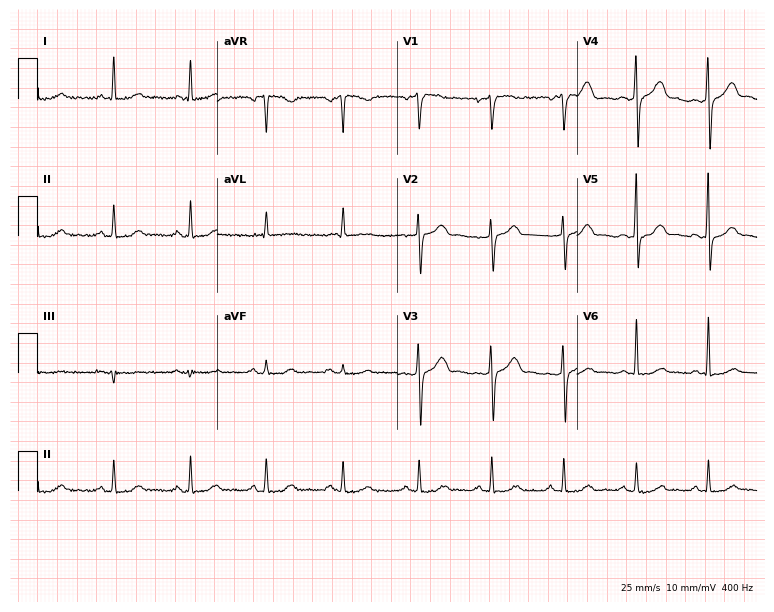
Electrocardiogram, a male, 61 years old. Of the six screened findings (first-degree AV block, right bundle branch block (RBBB), left bundle branch block (LBBB), sinus bradycardia, atrial fibrillation (AF), sinus tachycardia), none is recorded. Findings outside these six are not listed.